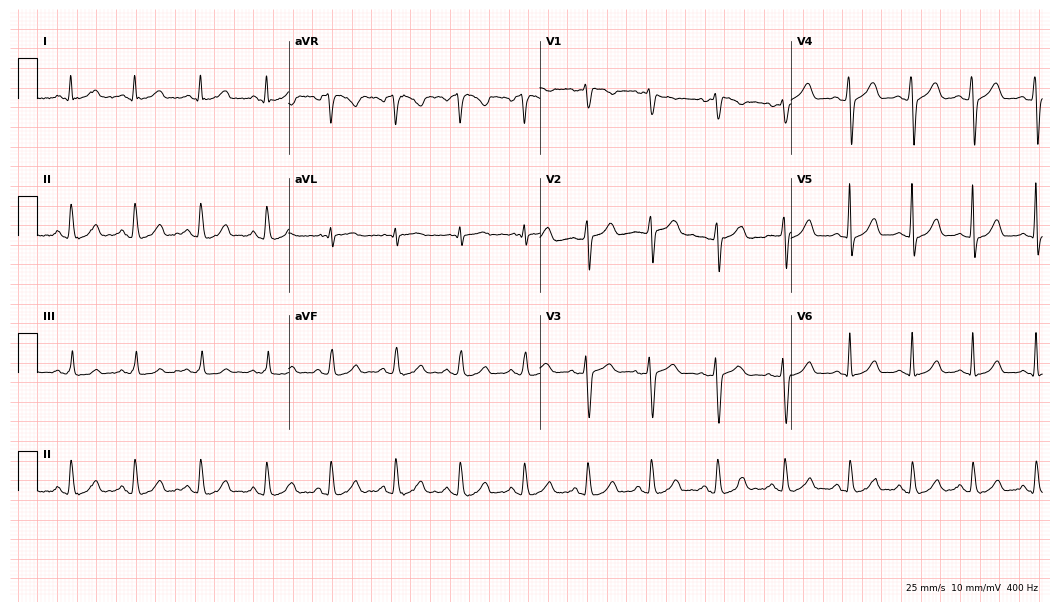
Electrocardiogram (10.2-second recording at 400 Hz), a 34-year-old female. Overall reading on record: normal ECG.